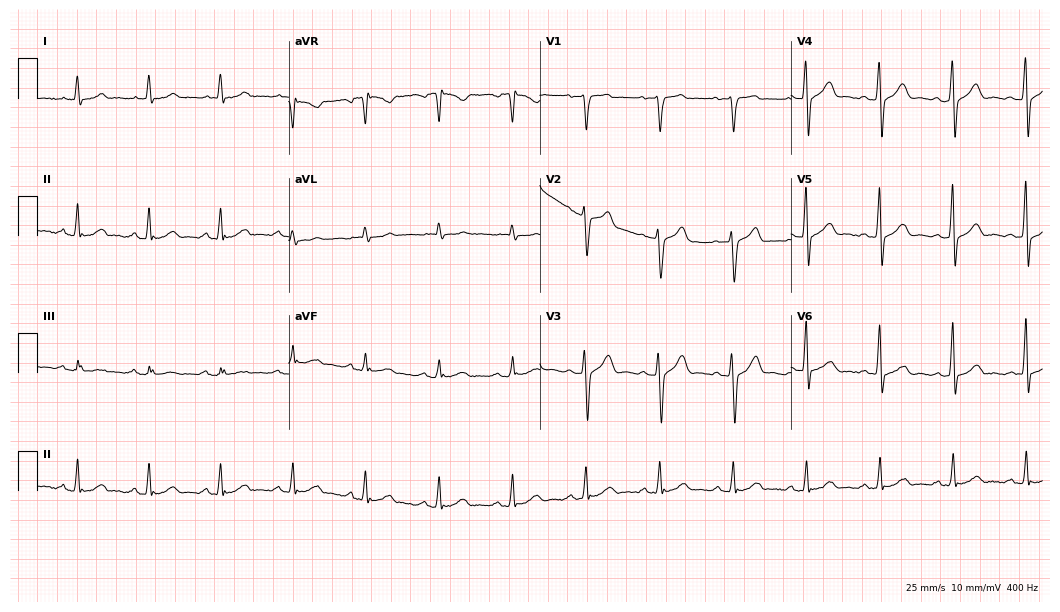
ECG (10.2-second recording at 400 Hz) — a man, 50 years old. Labelled as a normal ECG.